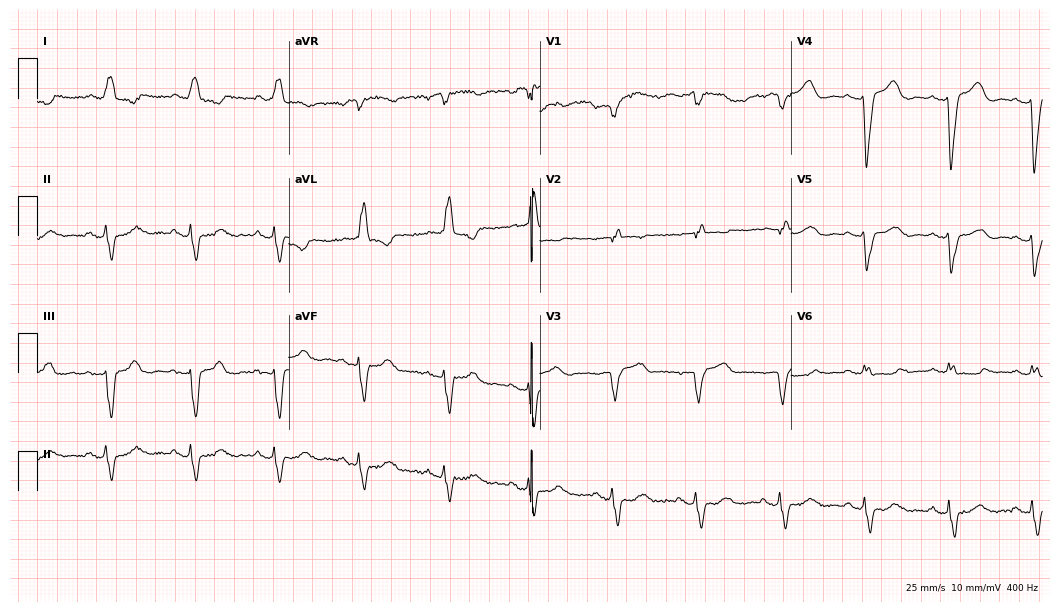
12-lead ECG from a female, 70 years old (10.2-second recording at 400 Hz). Shows left bundle branch block.